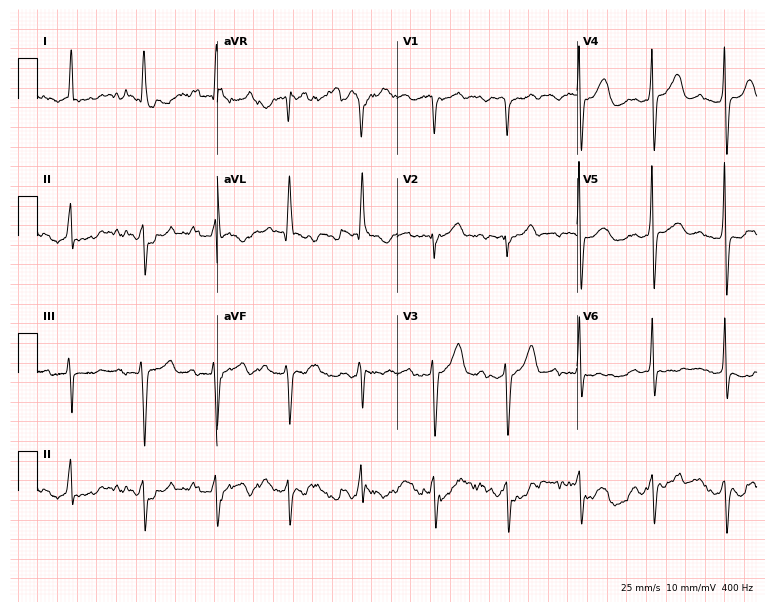
12-lead ECG from an 80-year-old male (7.3-second recording at 400 Hz). No first-degree AV block, right bundle branch block, left bundle branch block, sinus bradycardia, atrial fibrillation or sinus tachycardia recorded for this tracing.